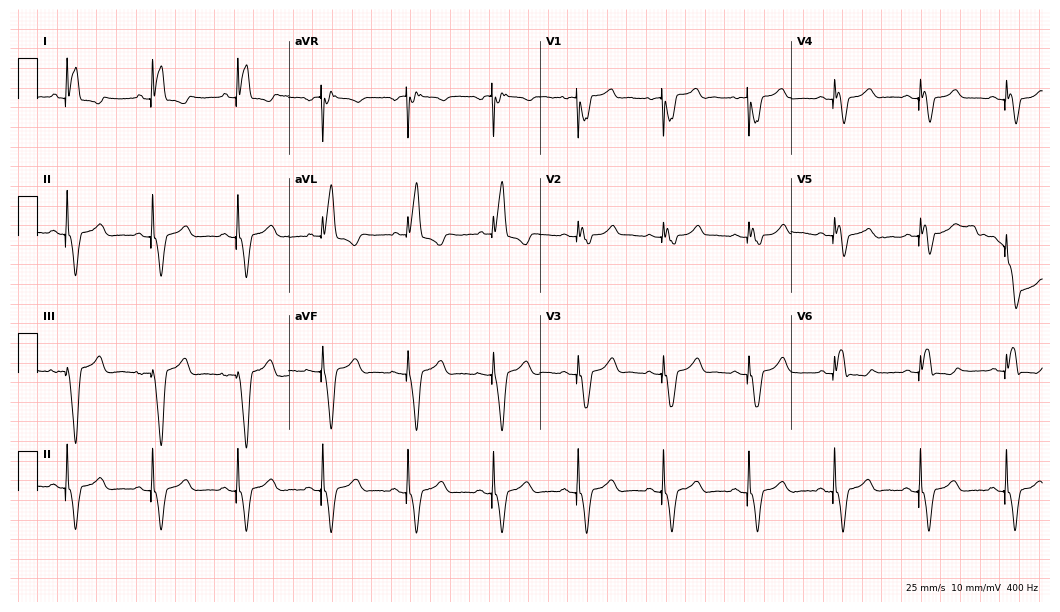
Resting 12-lead electrocardiogram (10.2-second recording at 400 Hz). Patient: a woman, 42 years old. None of these six findings is recorded: first-degree AV block, right bundle branch block, left bundle branch block, sinus bradycardia, atrial fibrillation, sinus tachycardia.